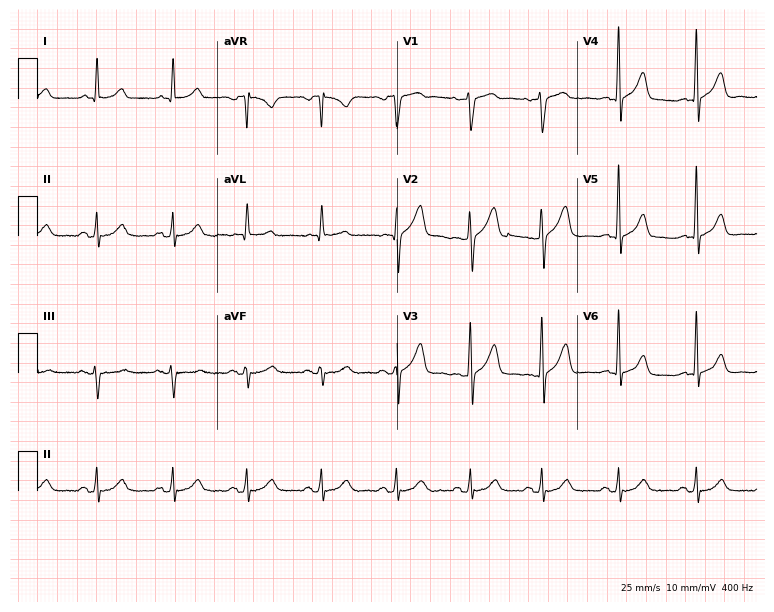
Resting 12-lead electrocardiogram. Patient: a 57-year-old male. Read as a normal ECG.